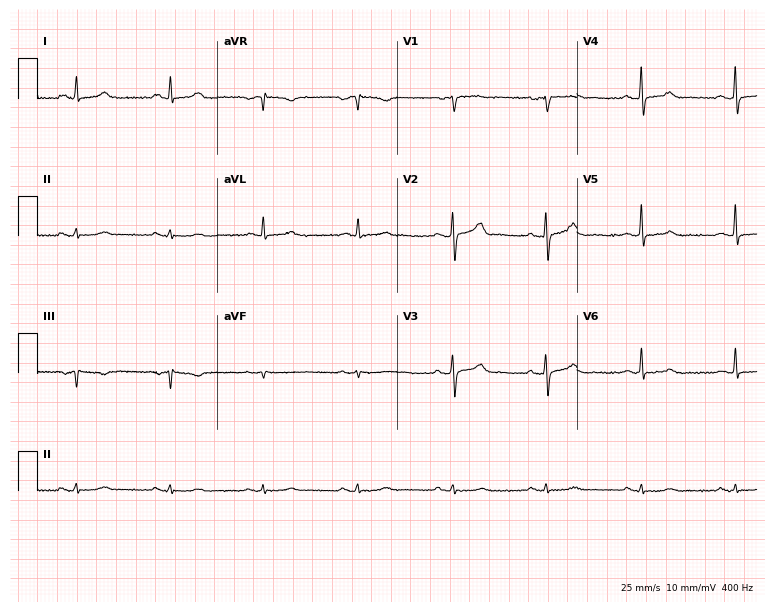
12-lead ECG from a 70-year-old man (7.3-second recording at 400 Hz). Recorded interpretation: within normal limits.